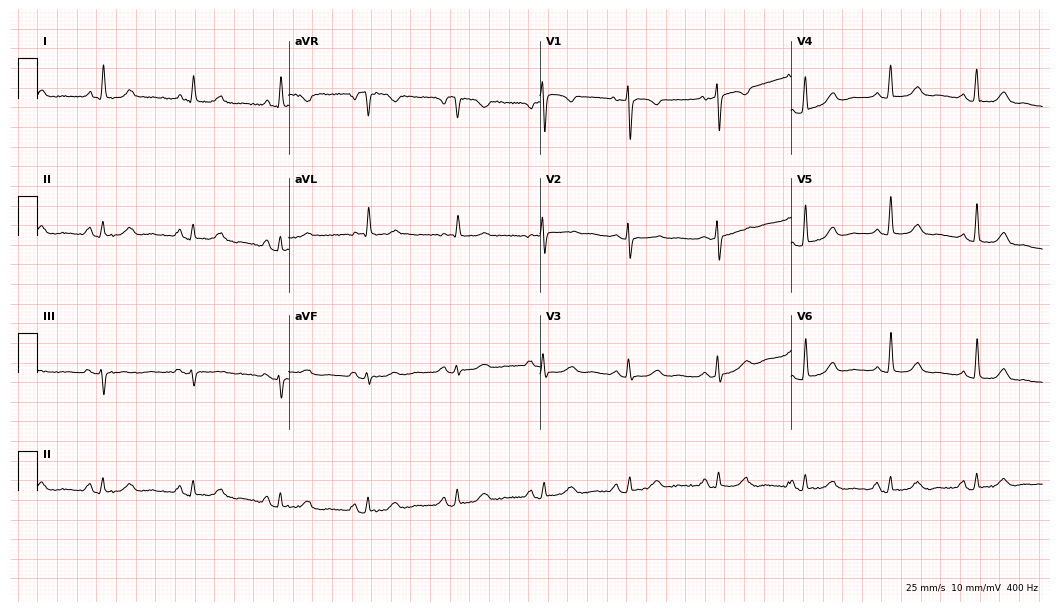
ECG — a 77-year-old woman. Screened for six findings — first-degree AV block, right bundle branch block, left bundle branch block, sinus bradycardia, atrial fibrillation, sinus tachycardia — none is recorded.